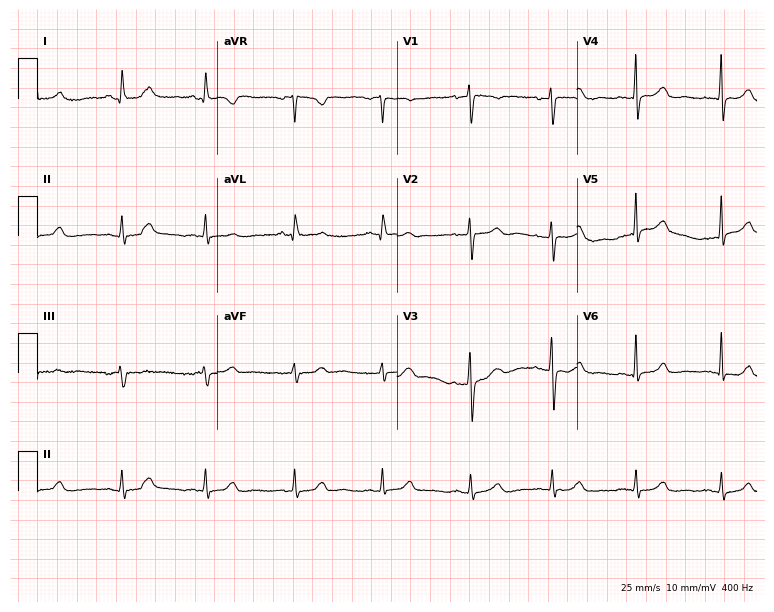
Electrocardiogram (7.3-second recording at 400 Hz), a female, 50 years old. Of the six screened findings (first-degree AV block, right bundle branch block (RBBB), left bundle branch block (LBBB), sinus bradycardia, atrial fibrillation (AF), sinus tachycardia), none is recorded.